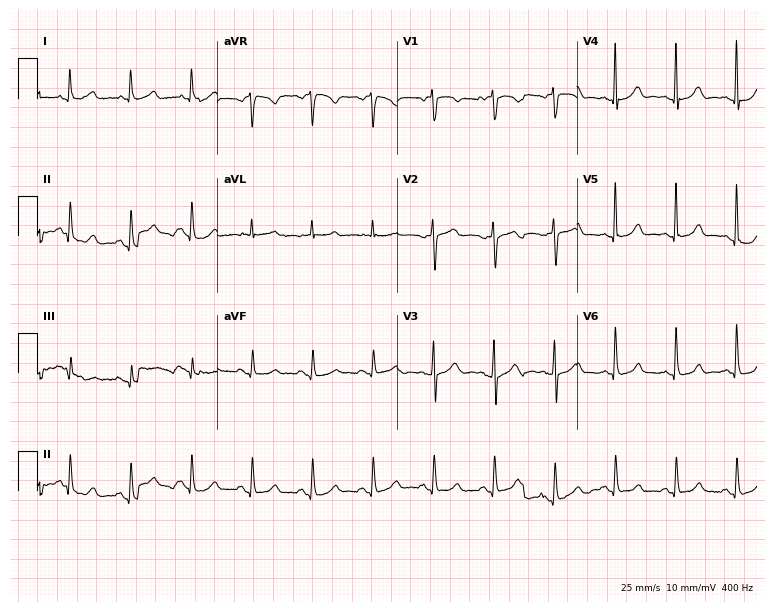
12-lead ECG (7.3-second recording at 400 Hz) from a 71-year-old woman. Labelled as a normal ECG.